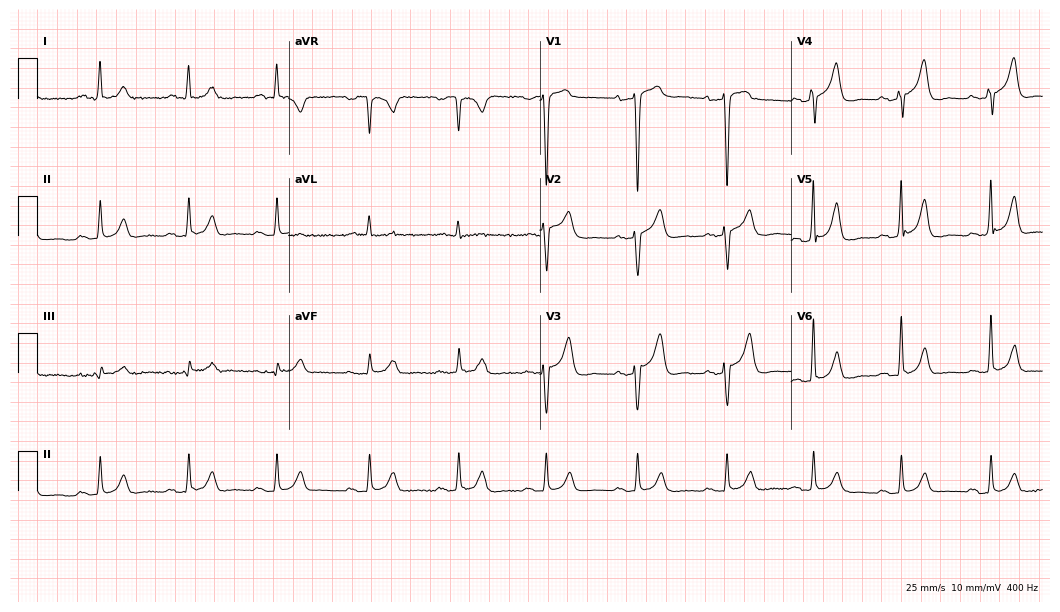
12-lead ECG from a male patient, 64 years old (10.2-second recording at 400 Hz). No first-degree AV block, right bundle branch block (RBBB), left bundle branch block (LBBB), sinus bradycardia, atrial fibrillation (AF) or sinus tachycardia recorded for this tracing. Findings outside these six are not listed.